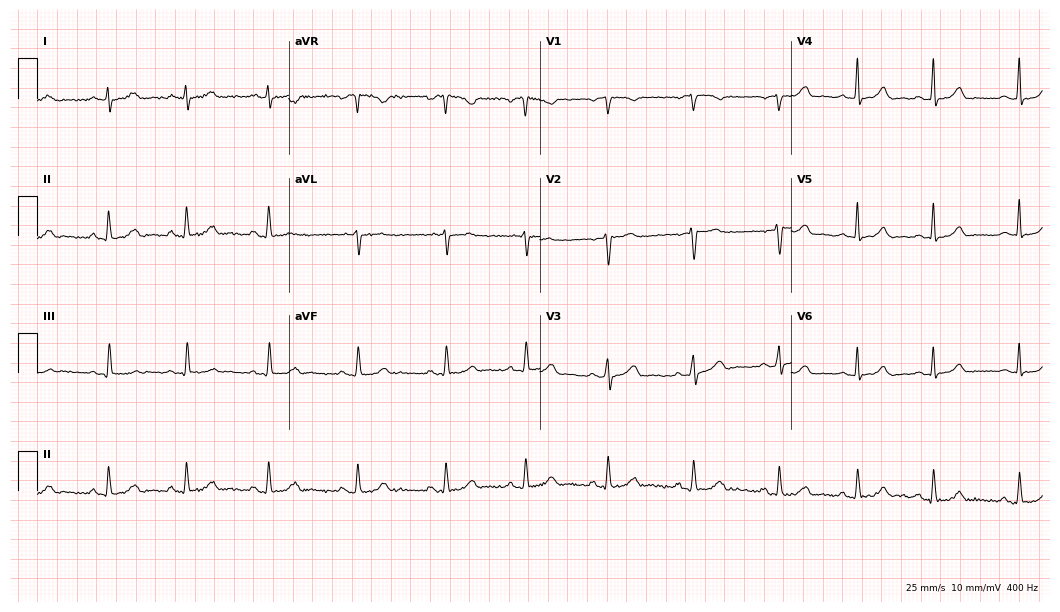
Standard 12-lead ECG recorded from a female, 38 years old (10.2-second recording at 400 Hz). Read as a normal ECG.